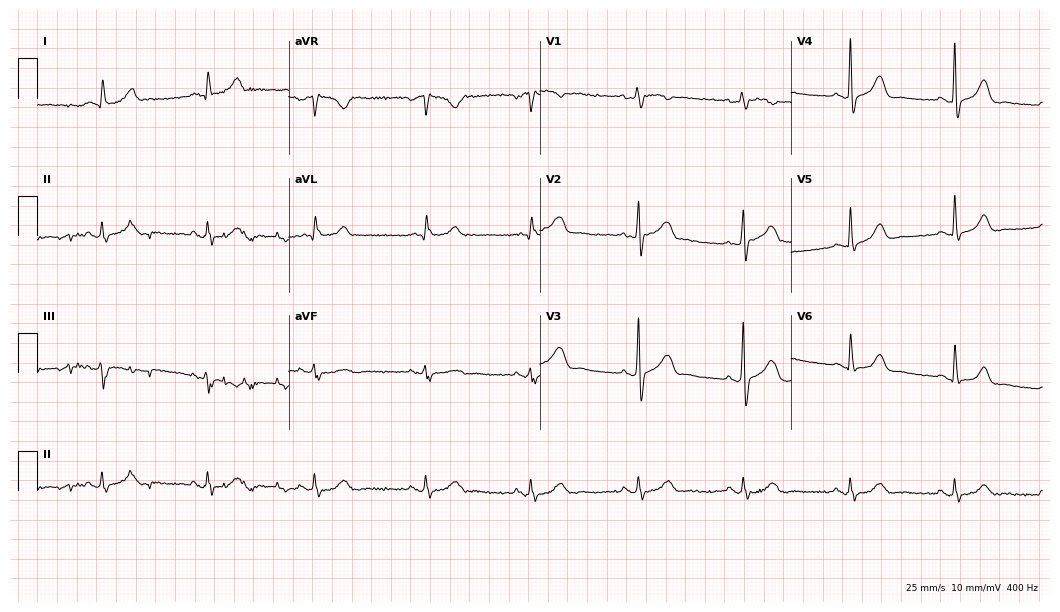
12-lead ECG from a female, 49 years old. Screened for six findings — first-degree AV block, right bundle branch block, left bundle branch block, sinus bradycardia, atrial fibrillation, sinus tachycardia — none is recorded.